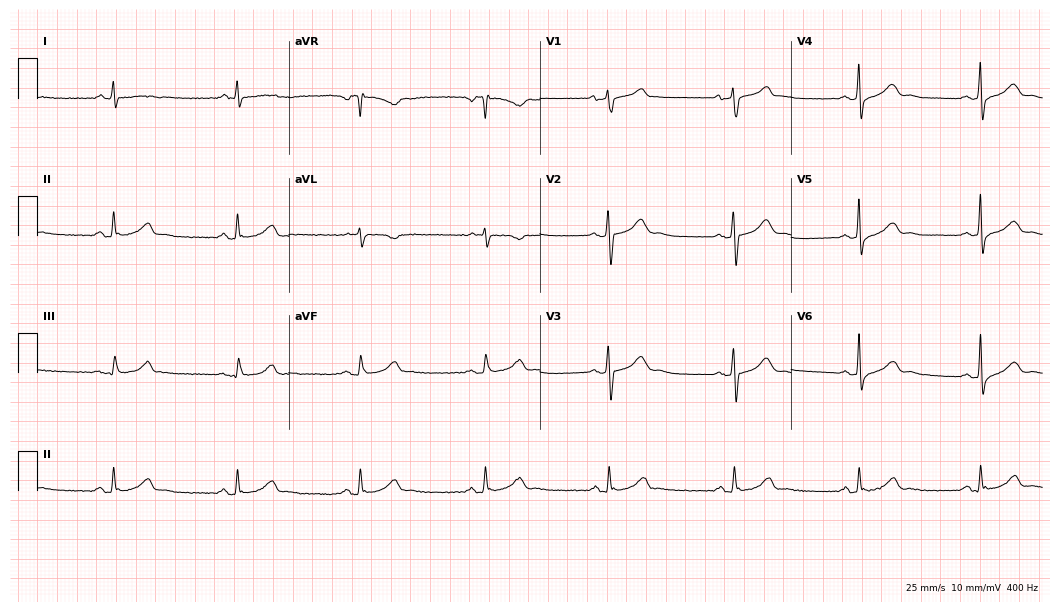
Resting 12-lead electrocardiogram. Patient: a 60-year-old man. None of these six findings is recorded: first-degree AV block, right bundle branch block, left bundle branch block, sinus bradycardia, atrial fibrillation, sinus tachycardia.